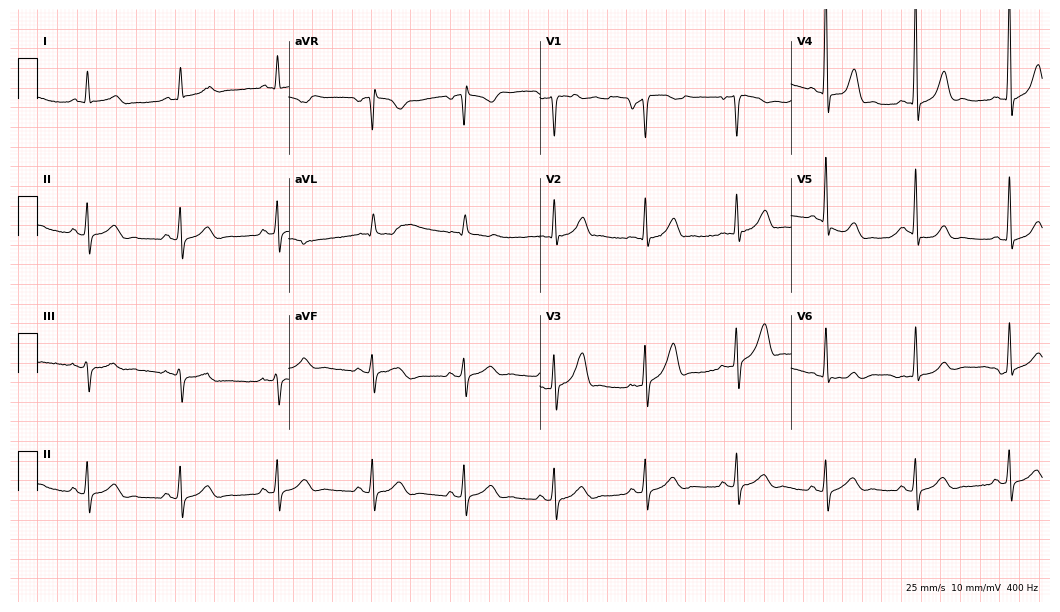
12-lead ECG from a male, 68 years old. Labelled as a normal ECG.